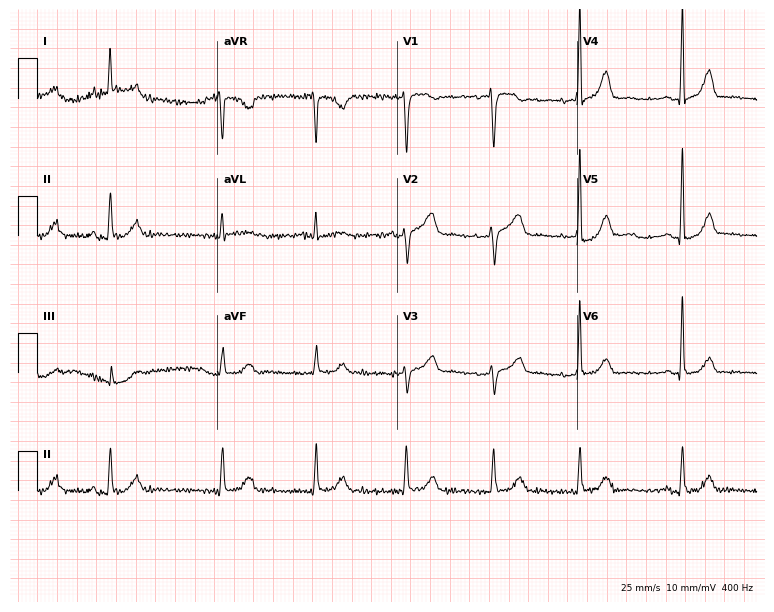
Resting 12-lead electrocardiogram (7.3-second recording at 400 Hz). Patient: a 78-year-old woman. Read as a normal ECG.